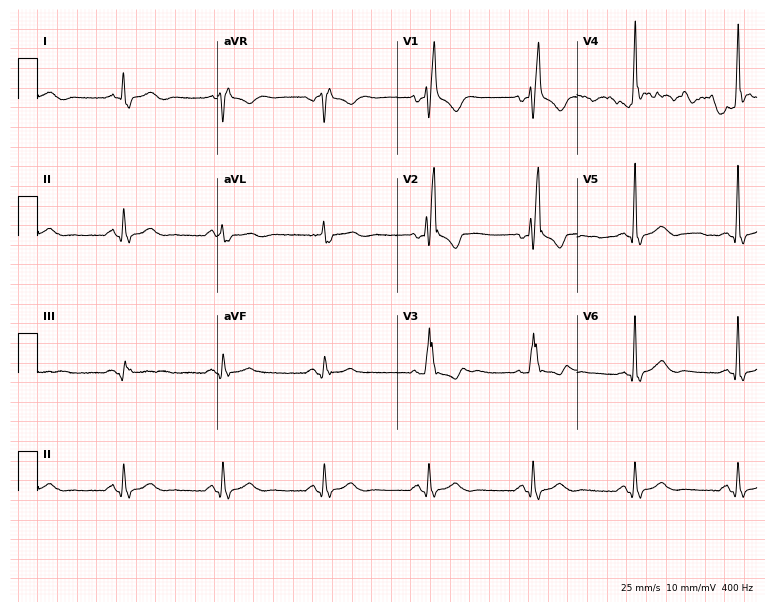
Resting 12-lead electrocardiogram (7.3-second recording at 400 Hz). Patient: a male, 69 years old. The tracing shows right bundle branch block.